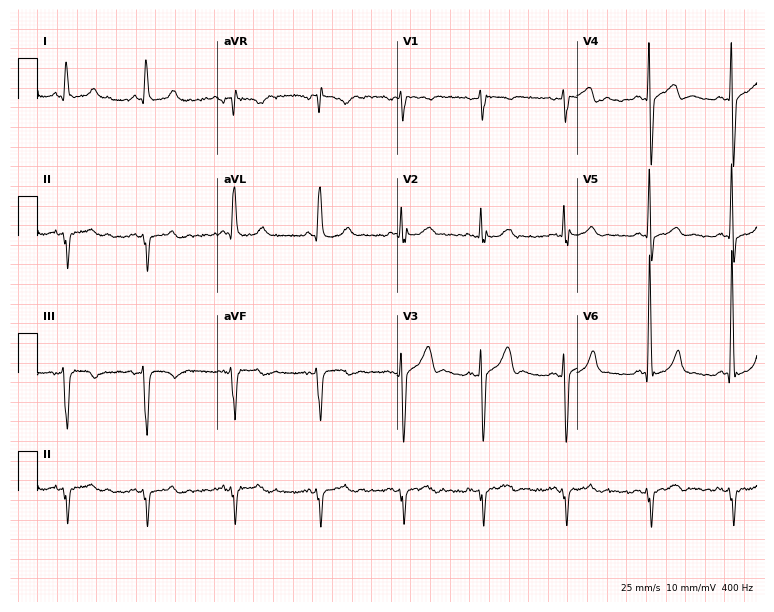
Resting 12-lead electrocardiogram. Patient: a 37-year-old male. None of these six findings is recorded: first-degree AV block, right bundle branch block, left bundle branch block, sinus bradycardia, atrial fibrillation, sinus tachycardia.